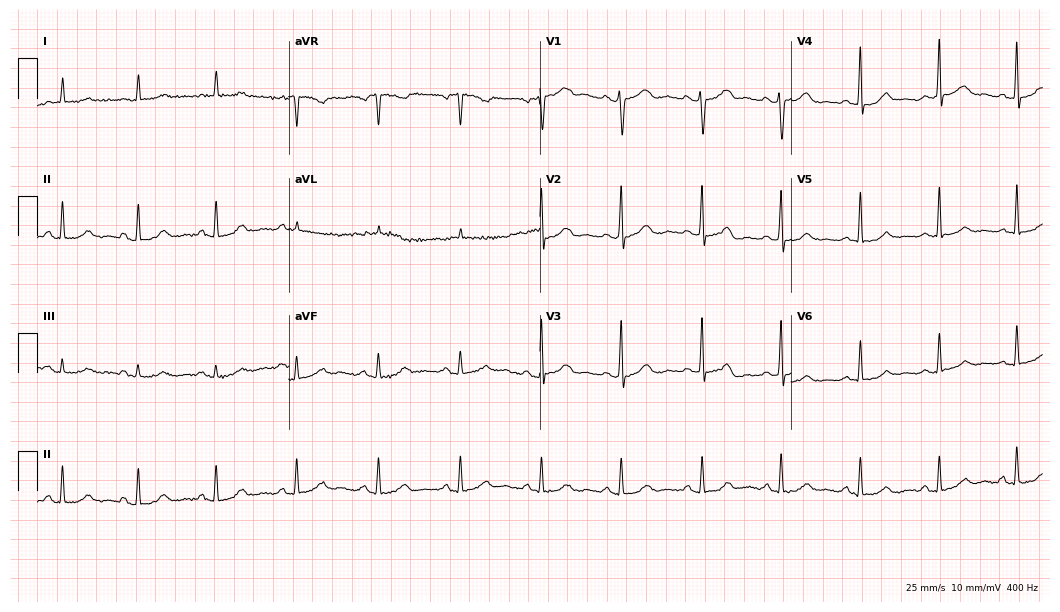
Resting 12-lead electrocardiogram (10.2-second recording at 400 Hz). Patient: a woman, 66 years old. None of these six findings is recorded: first-degree AV block, right bundle branch block, left bundle branch block, sinus bradycardia, atrial fibrillation, sinus tachycardia. Only these six findings were labelled.